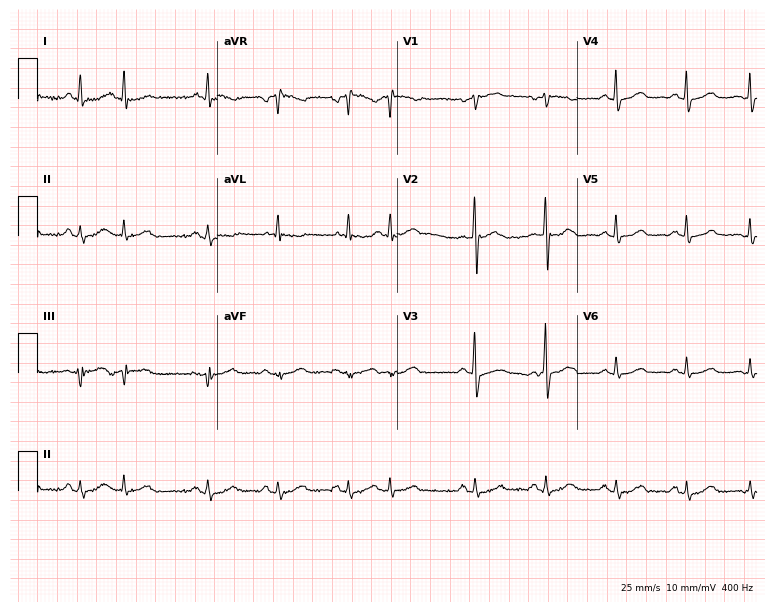
Standard 12-lead ECG recorded from a 71-year-old male patient (7.3-second recording at 400 Hz). Read as a normal ECG.